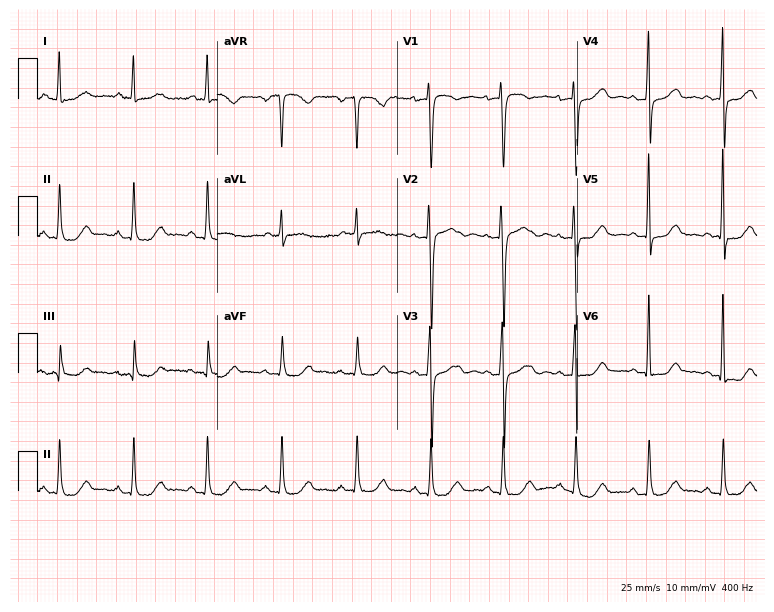
ECG — a female, 55 years old. Labelled as a normal ECG.